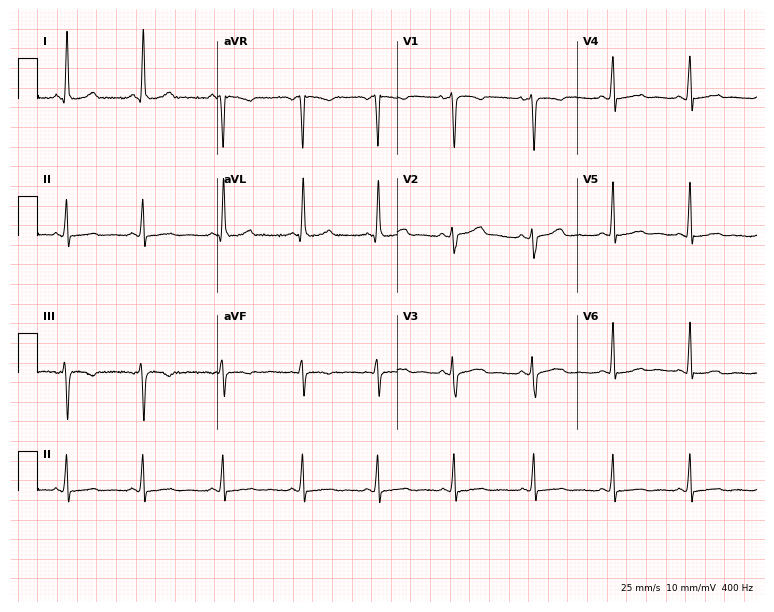
Electrocardiogram, a 29-year-old female patient. Of the six screened findings (first-degree AV block, right bundle branch block (RBBB), left bundle branch block (LBBB), sinus bradycardia, atrial fibrillation (AF), sinus tachycardia), none is recorded. Only these six findings were labelled.